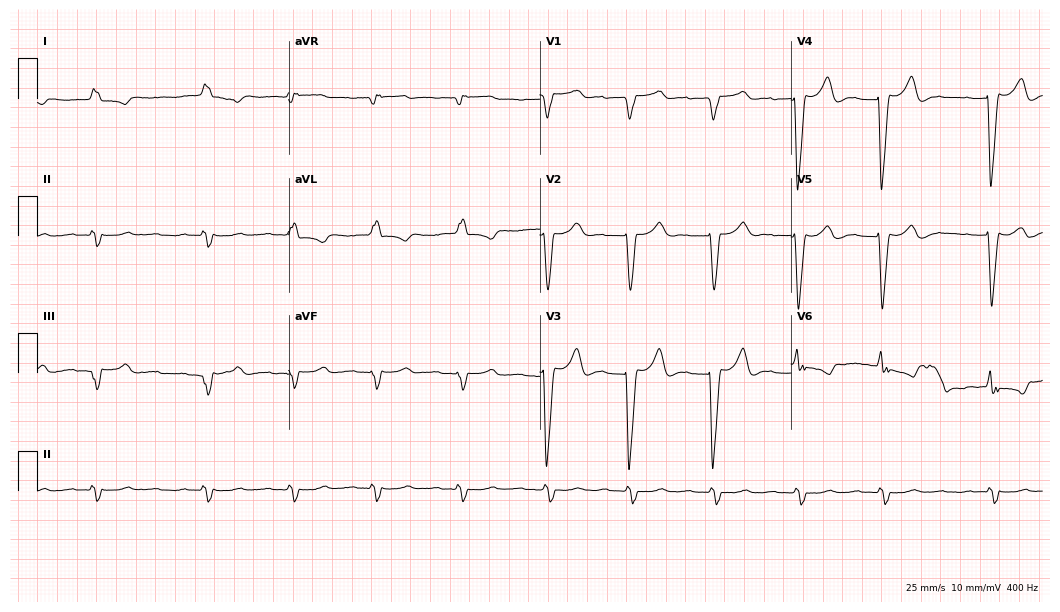
Electrocardiogram (10.2-second recording at 400 Hz), a 79-year-old male. Interpretation includes left bundle branch block.